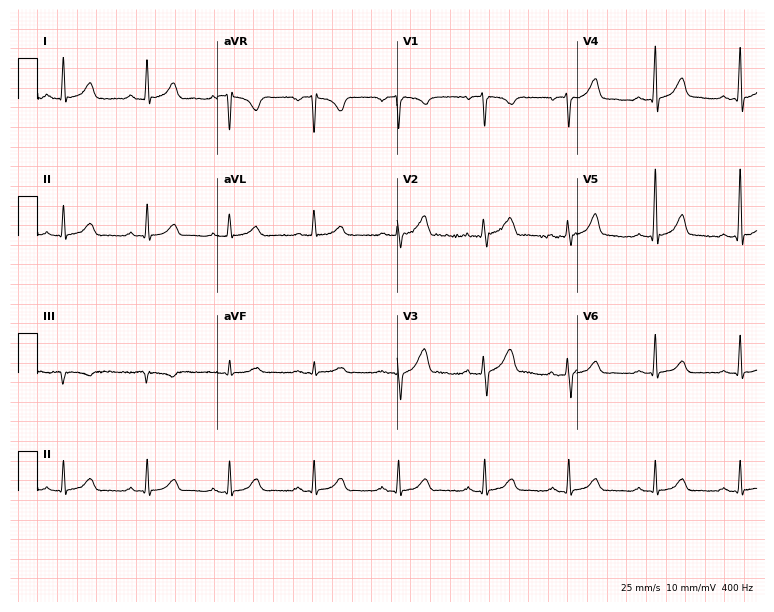
12-lead ECG from a male patient, 39 years old (7.3-second recording at 400 Hz). Recorded interpretation: within normal limits.